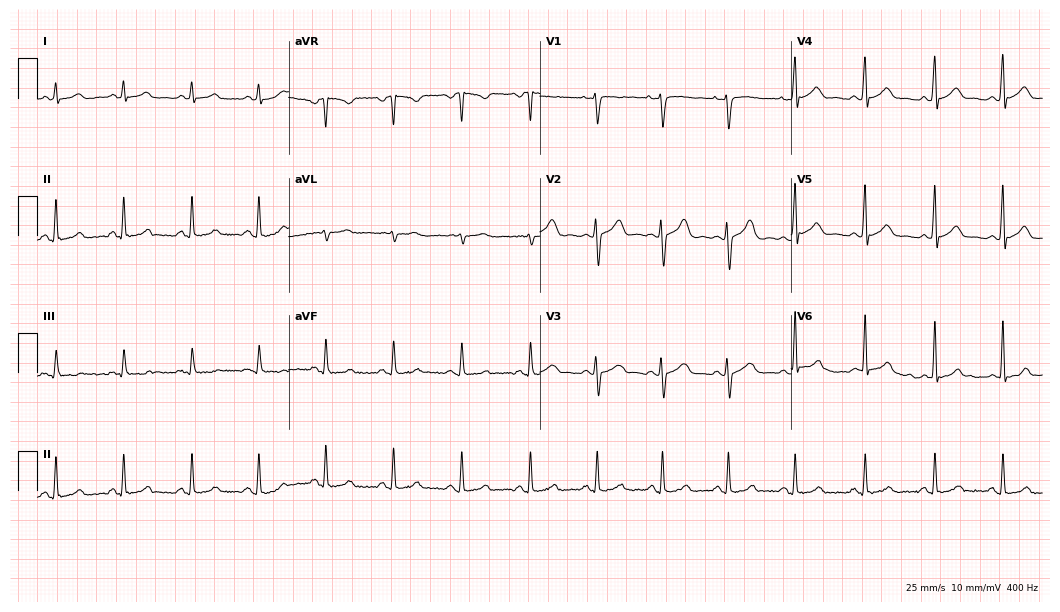
Resting 12-lead electrocardiogram. Patient: a woman, 30 years old. Read as a normal ECG.